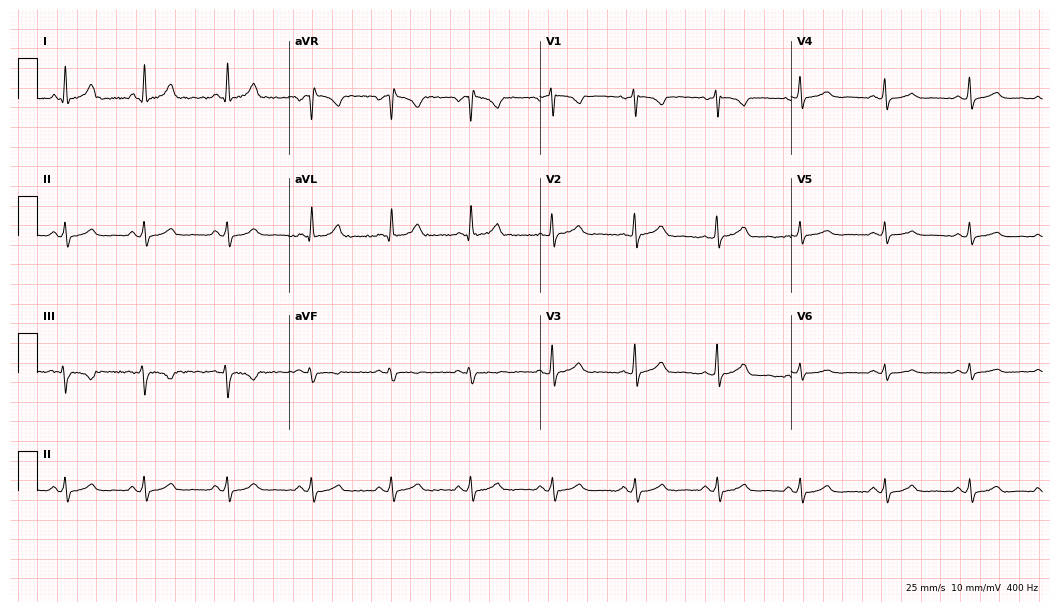
Electrocardiogram, a female patient, 36 years old. Of the six screened findings (first-degree AV block, right bundle branch block, left bundle branch block, sinus bradycardia, atrial fibrillation, sinus tachycardia), none is recorded.